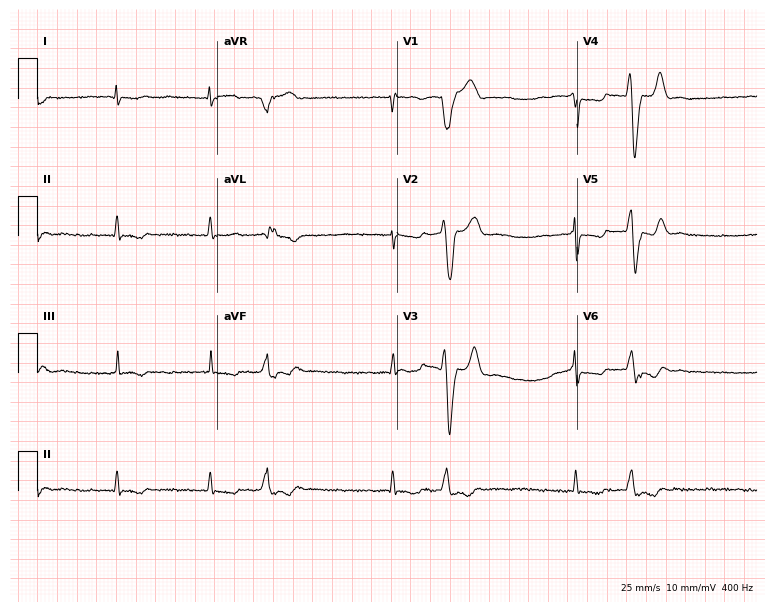
12-lead ECG (7.3-second recording at 400 Hz) from a woman, 70 years old. Screened for six findings — first-degree AV block, right bundle branch block, left bundle branch block, sinus bradycardia, atrial fibrillation, sinus tachycardia — none is recorded.